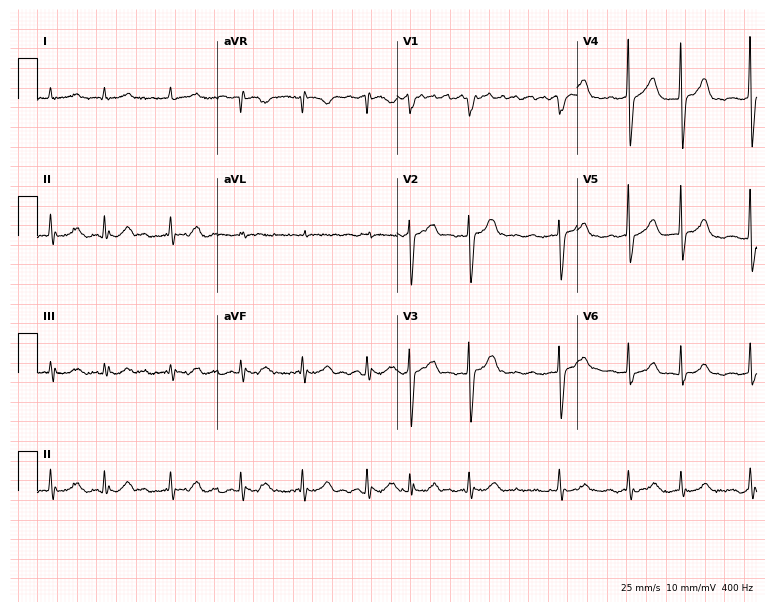
Electrocardiogram, a male patient, 82 years old. Interpretation includes atrial fibrillation (AF).